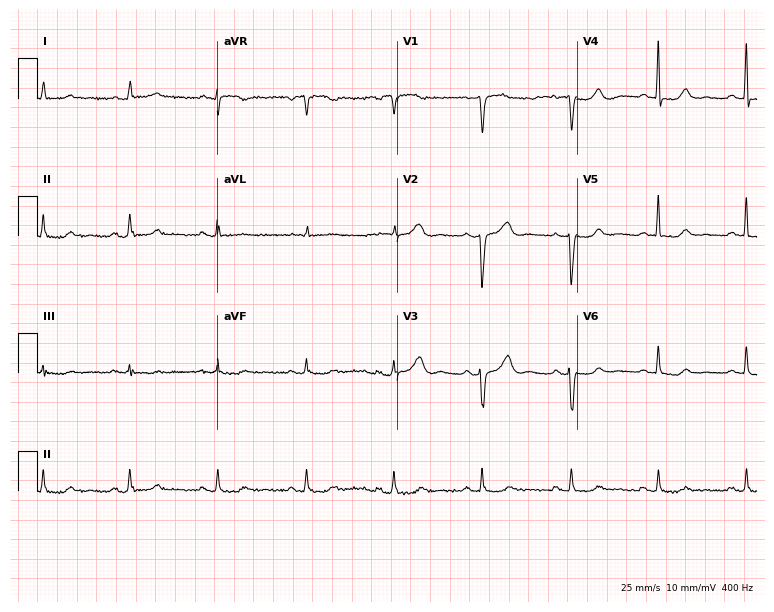
ECG — a woman, 51 years old. Labelled as a normal ECG.